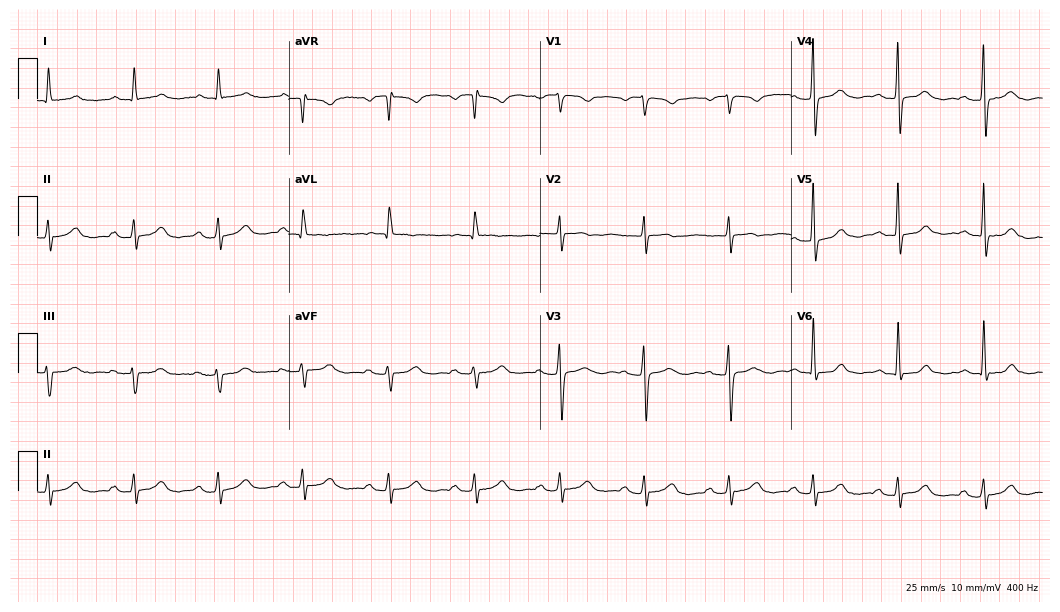
12-lead ECG (10.2-second recording at 400 Hz) from a 62-year-old female. Findings include first-degree AV block.